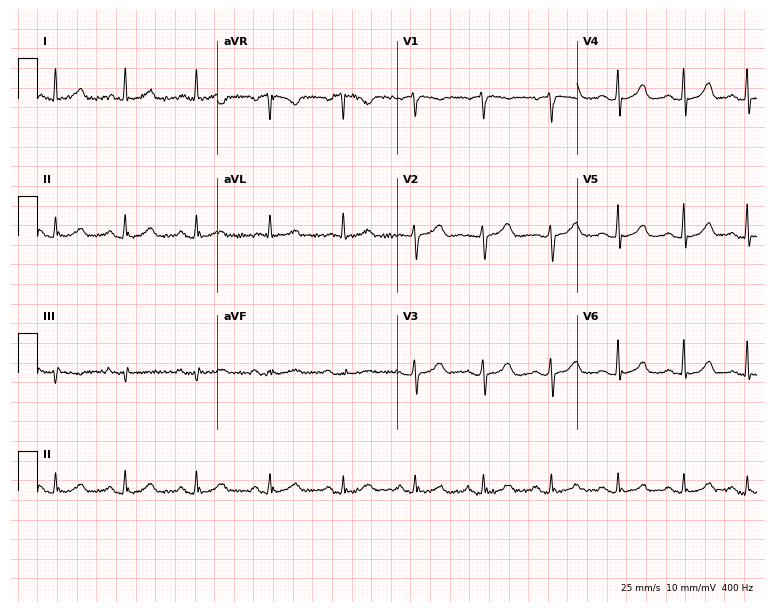
12-lead ECG from a woman, 65 years old. Labelled as a normal ECG.